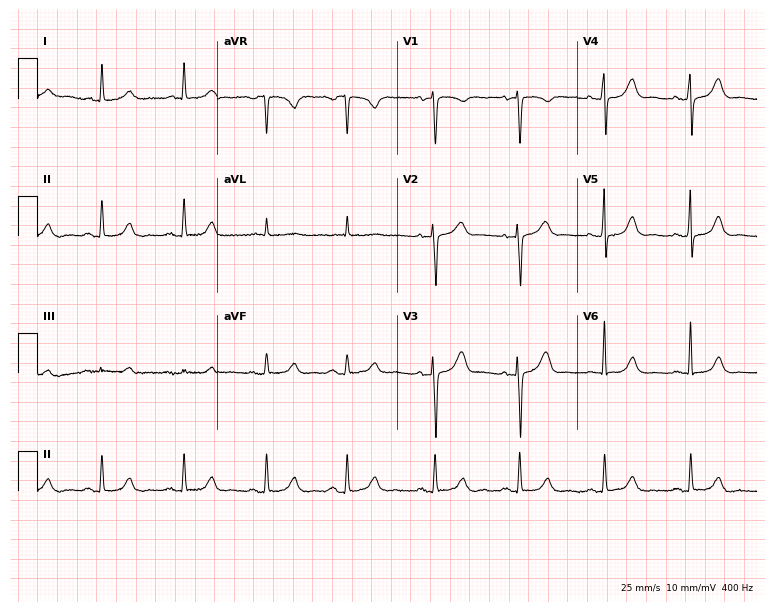
12-lead ECG from a woman, 69 years old (7.3-second recording at 400 Hz). No first-degree AV block, right bundle branch block, left bundle branch block, sinus bradycardia, atrial fibrillation or sinus tachycardia recorded for this tracing. Only these six findings were labelled.